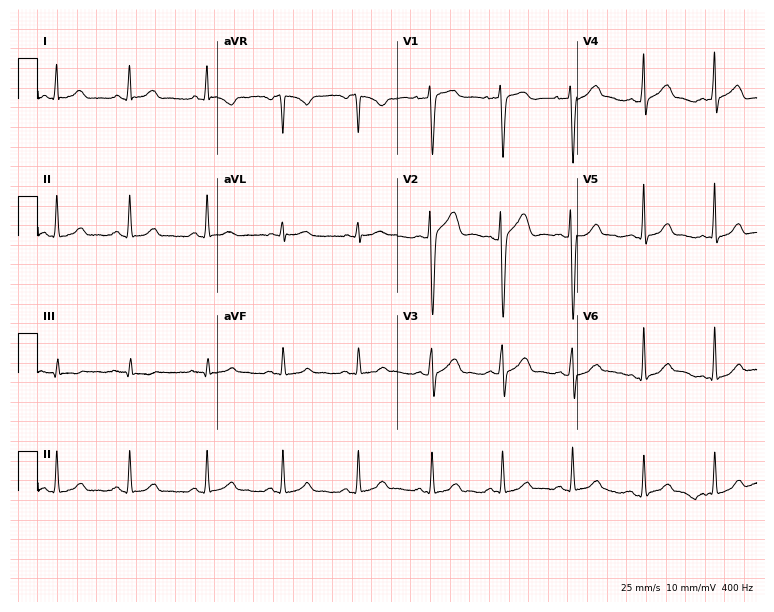
ECG — a male patient, 26 years old. Labelled as a normal ECG.